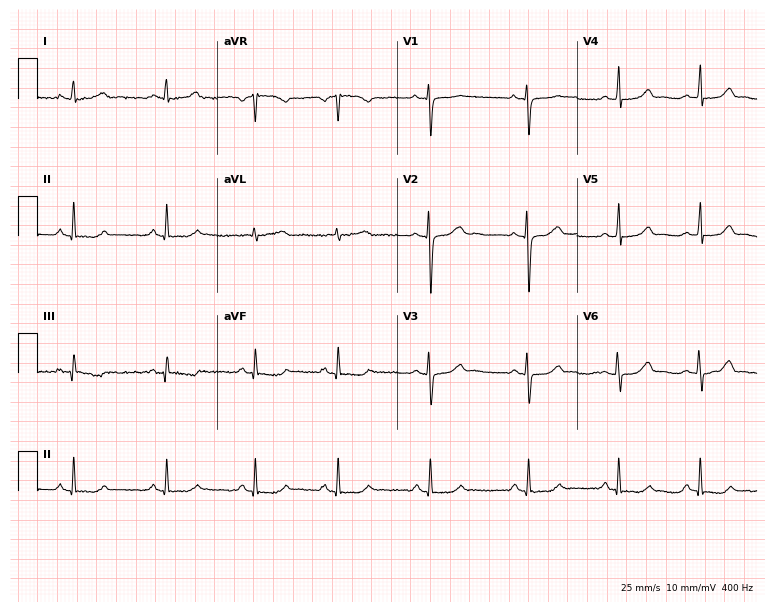
ECG — a 26-year-old woman. Screened for six findings — first-degree AV block, right bundle branch block (RBBB), left bundle branch block (LBBB), sinus bradycardia, atrial fibrillation (AF), sinus tachycardia — none is recorded. Other findings, if any, are not listed.